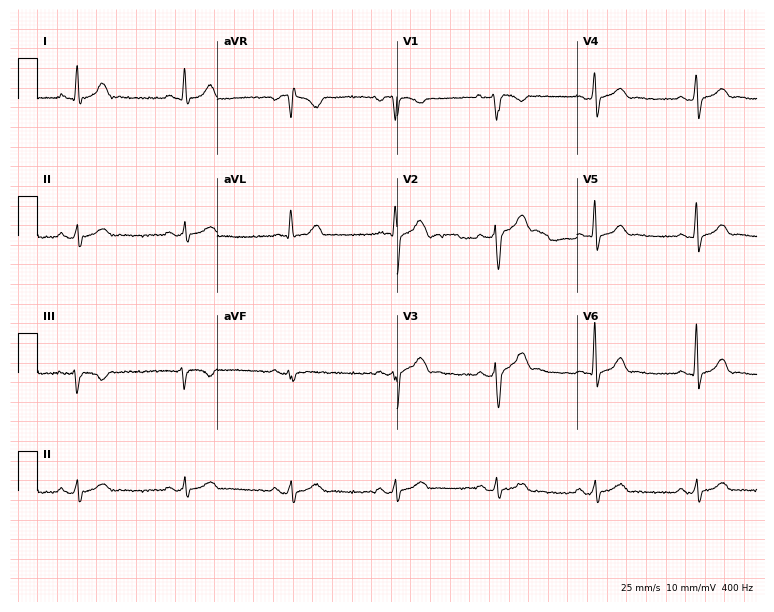
ECG (7.3-second recording at 400 Hz) — a male, 35 years old. Screened for six findings — first-degree AV block, right bundle branch block, left bundle branch block, sinus bradycardia, atrial fibrillation, sinus tachycardia — none is recorded.